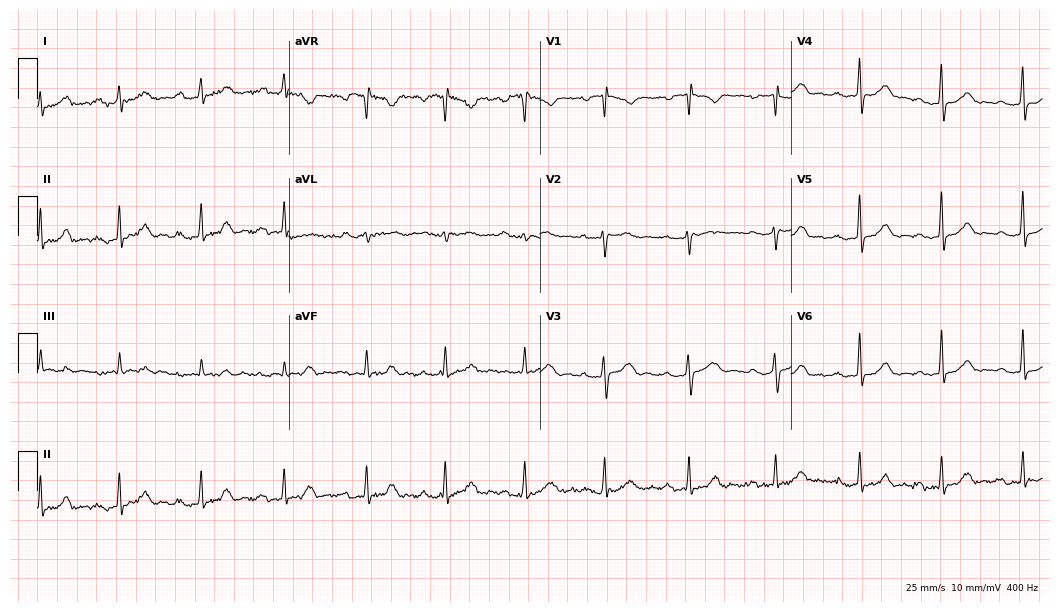
Electrocardiogram (10.2-second recording at 400 Hz), a female, 51 years old. Of the six screened findings (first-degree AV block, right bundle branch block, left bundle branch block, sinus bradycardia, atrial fibrillation, sinus tachycardia), none is recorded.